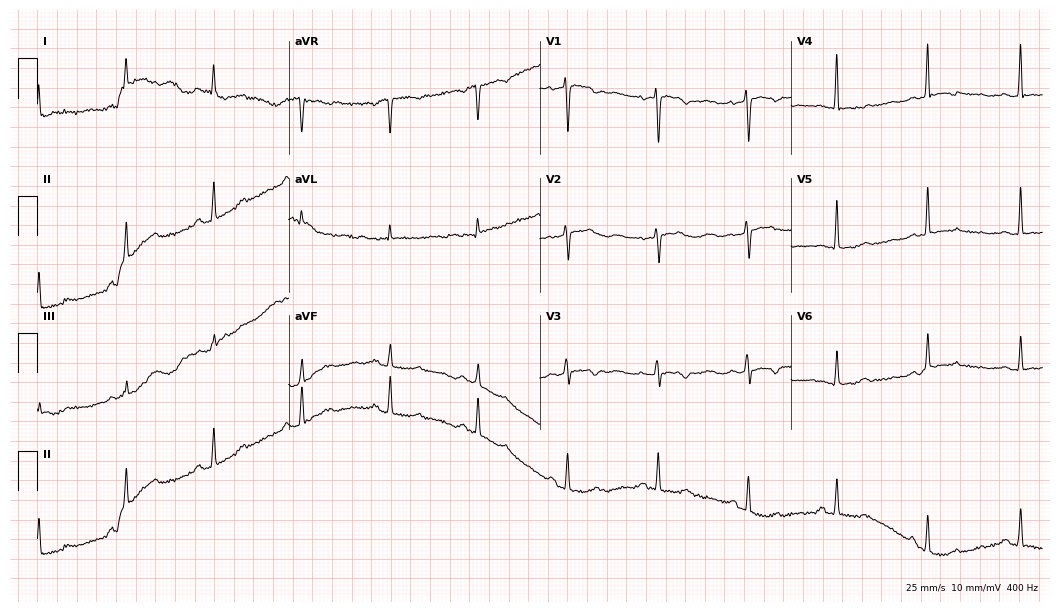
12-lead ECG (10.2-second recording at 400 Hz) from a 75-year-old woman. Screened for six findings — first-degree AV block, right bundle branch block (RBBB), left bundle branch block (LBBB), sinus bradycardia, atrial fibrillation (AF), sinus tachycardia — none is recorded.